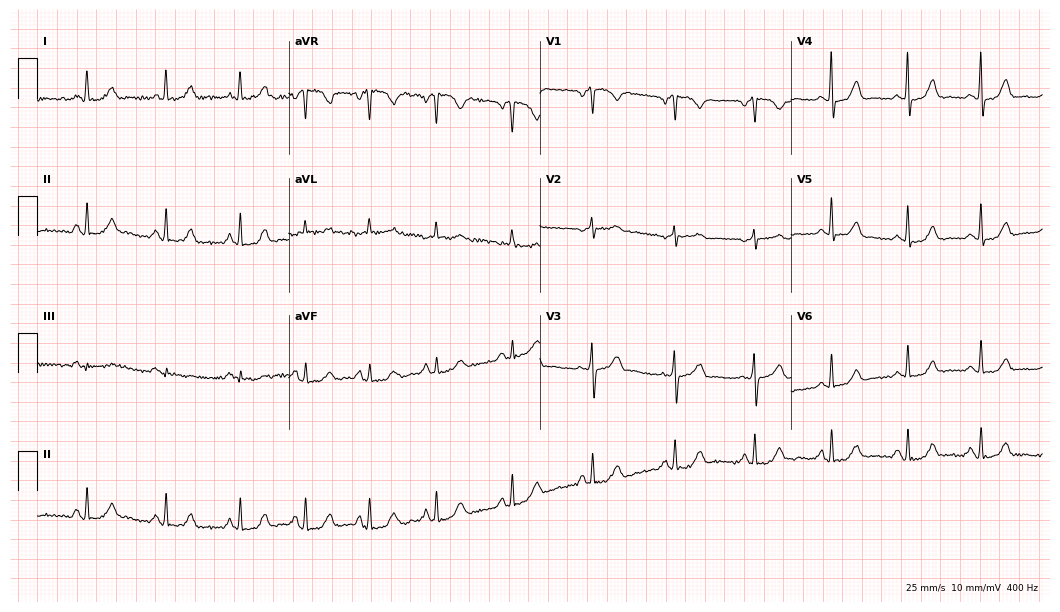
12-lead ECG from a female, 60 years old. Screened for six findings — first-degree AV block, right bundle branch block, left bundle branch block, sinus bradycardia, atrial fibrillation, sinus tachycardia — none is recorded.